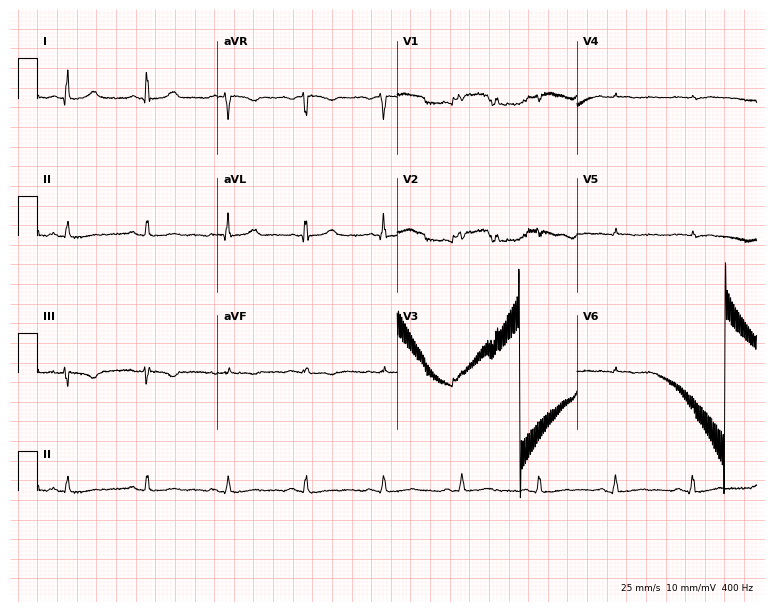
12-lead ECG from a female, 37 years old (7.3-second recording at 400 Hz). No first-degree AV block, right bundle branch block, left bundle branch block, sinus bradycardia, atrial fibrillation or sinus tachycardia recorded for this tracing.